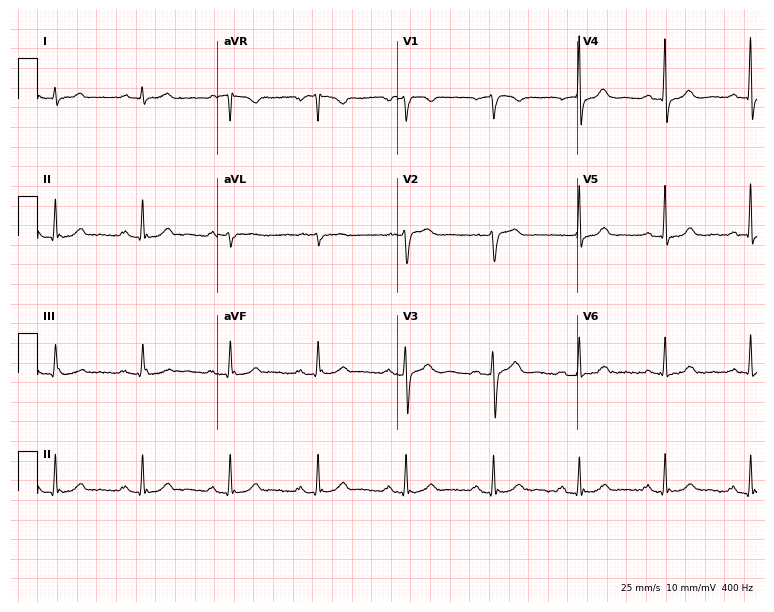
Standard 12-lead ECG recorded from a 59-year-old male patient. None of these six findings is recorded: first-degree AV block, right bundle branch block, left bundle branch block, sinus bradycardia, atrial fibrillation, sinus tachycardia. Only these six findings were labelled.